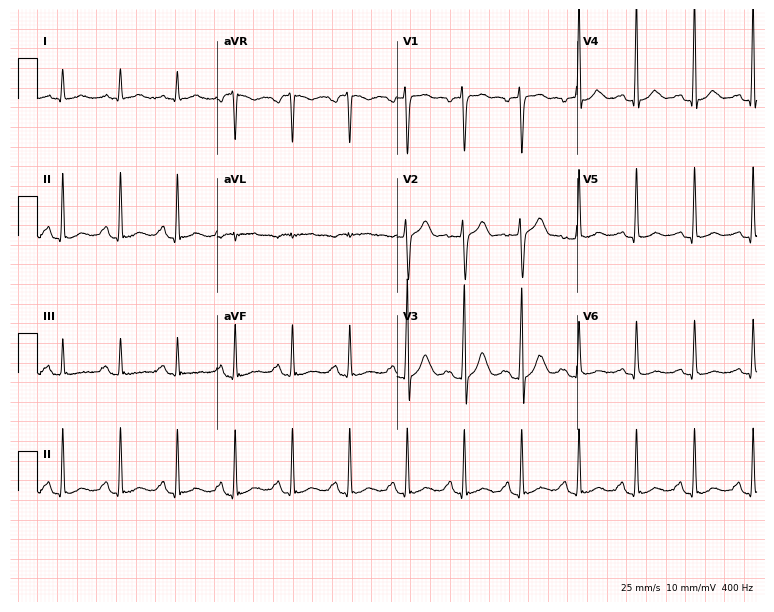
Standard 12-lead ECG recorded from a 51-year-old man (7.3-second recording at 400 Hz). The tracing shows sinus tachycardia (a sinus rate of 100 beats per minute or more).